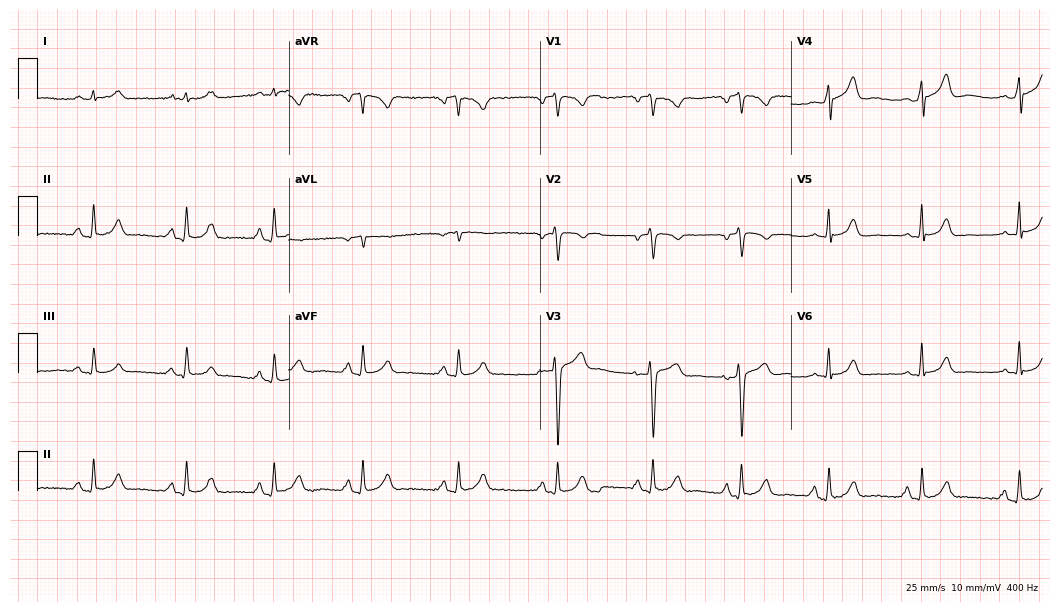
ECG — a 46-year-old man. Labelled as a normal ECG.